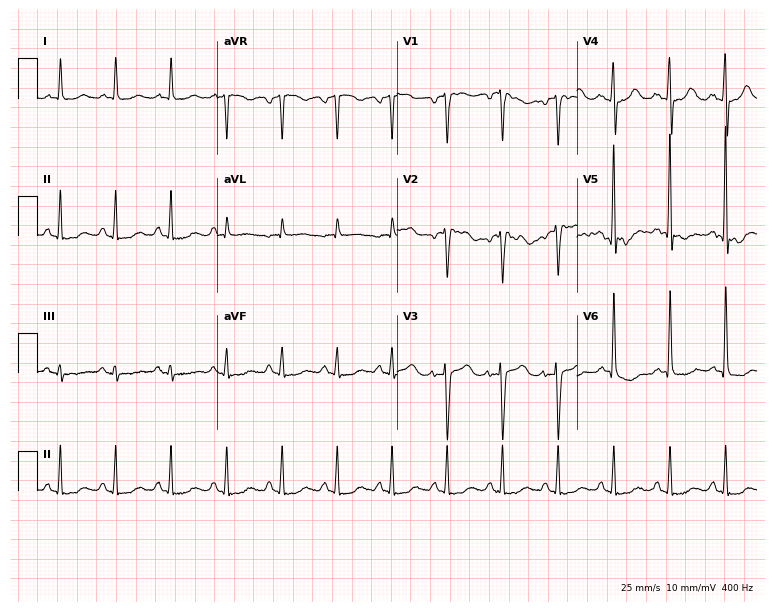
12-lead ECG (7.3-second recording at 400 Hz) from a 71-year-old female. Screened for six findings — first-degree AV block, right bundle branch block, left bundle branch block, sinus bradycardia, atrial fibrillation, sinus tachycardia — none is recorded.